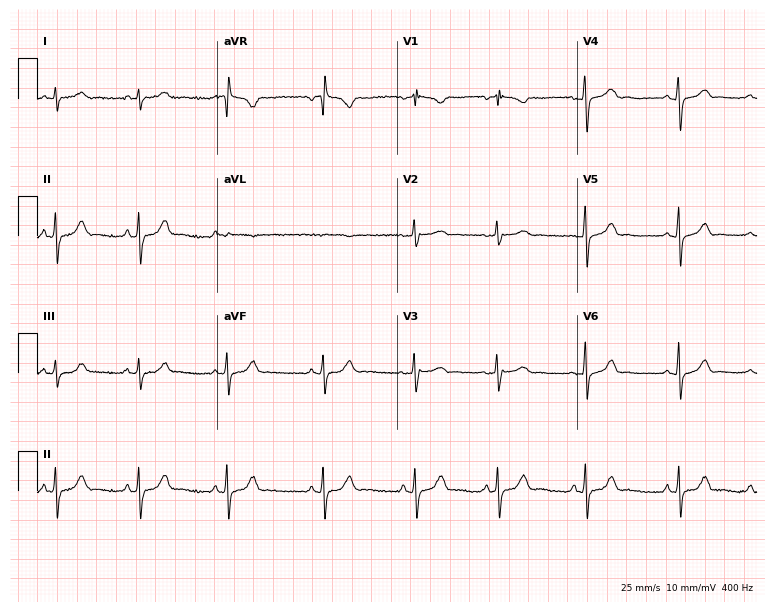
Electrocardiogram, a woman, 17 years old. Of the six screened findings (first-degree AV block, right bundle branch block, left bundle branch block, sinus bradycardia, atrial fibrillation, sinus tachycardia), none is recorded. Findings outside these six are not listed.